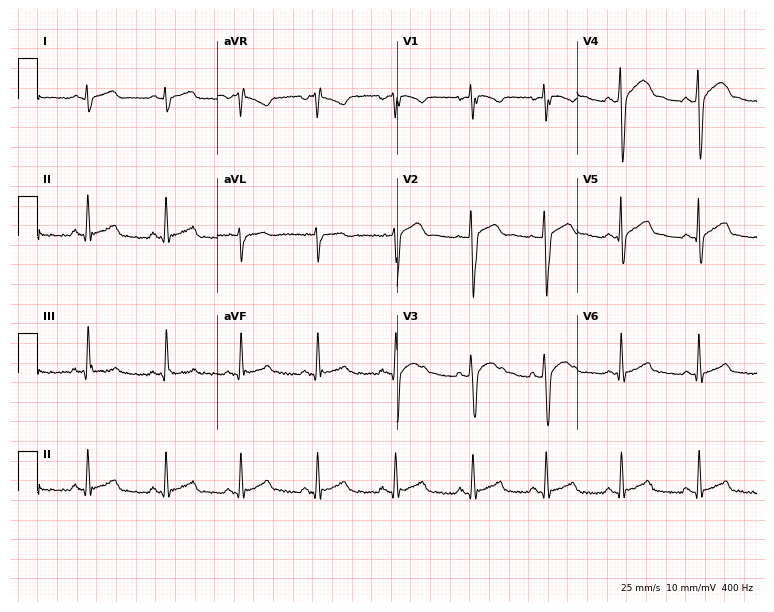
Electrocardiogram, a male, 31 years old. Overall reading on record: normal ECG.